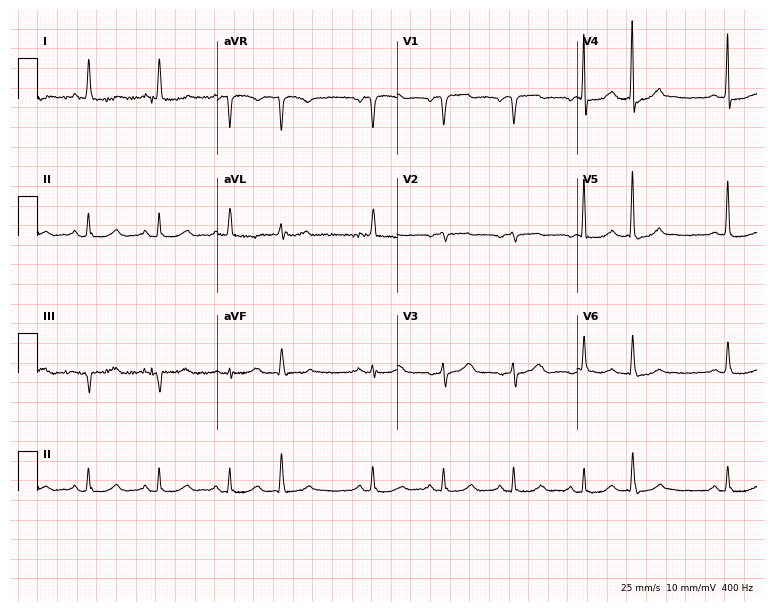
Resting 12-lead electrocardiogram (7.3-second recording at 400 Hz). Patient: an 81-year-old female. None of these six findings is recorded: first-degree AV block, right bundle branch block, left bundle branch block, sinus bradycardia, atrial fibrillation, sinus tachycardia. Only these six findings were labelled.